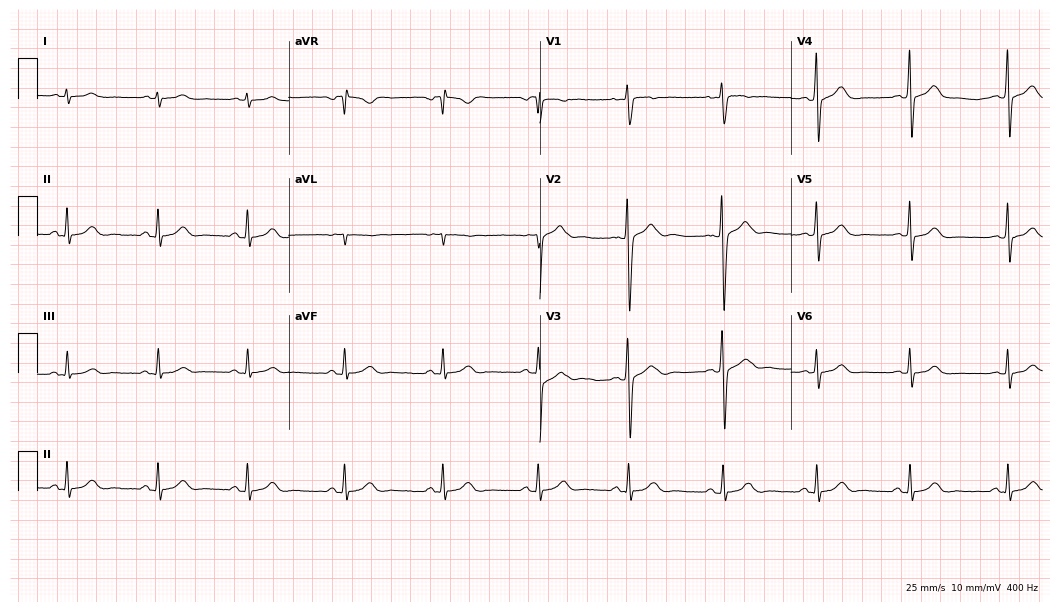
Resting 12-lead electrocardiogram (10.2-second recording at 400 Hz). Patient: a male, 21 years old. None of these six findings is recorded: first-degree AV block, right bundle branch block (RBBB), left bundle branch block (LBBB), sinus bradycardia, atrial fibrillation (AF), sinus tachycardia. Only these six findings were labelled.